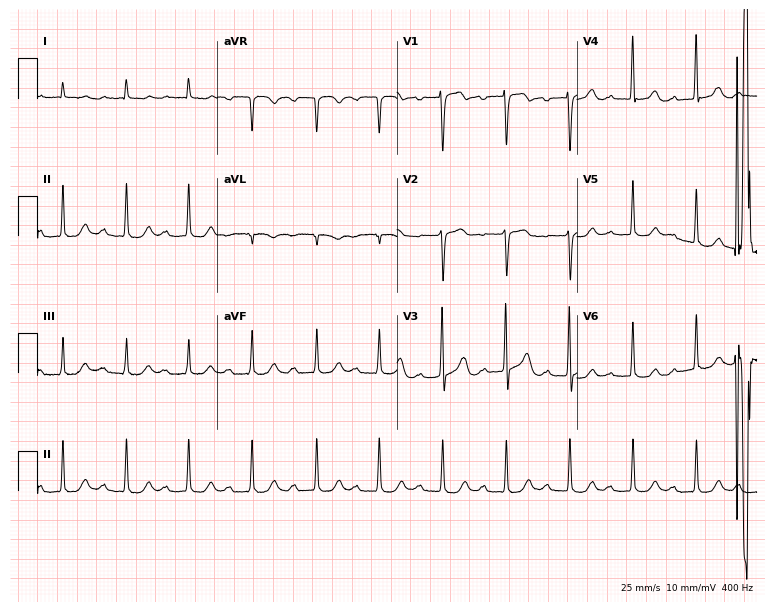
ECG (7.3-second recording at 400 Hz) — a male, 83 years old. Labelled as a normal ECG.